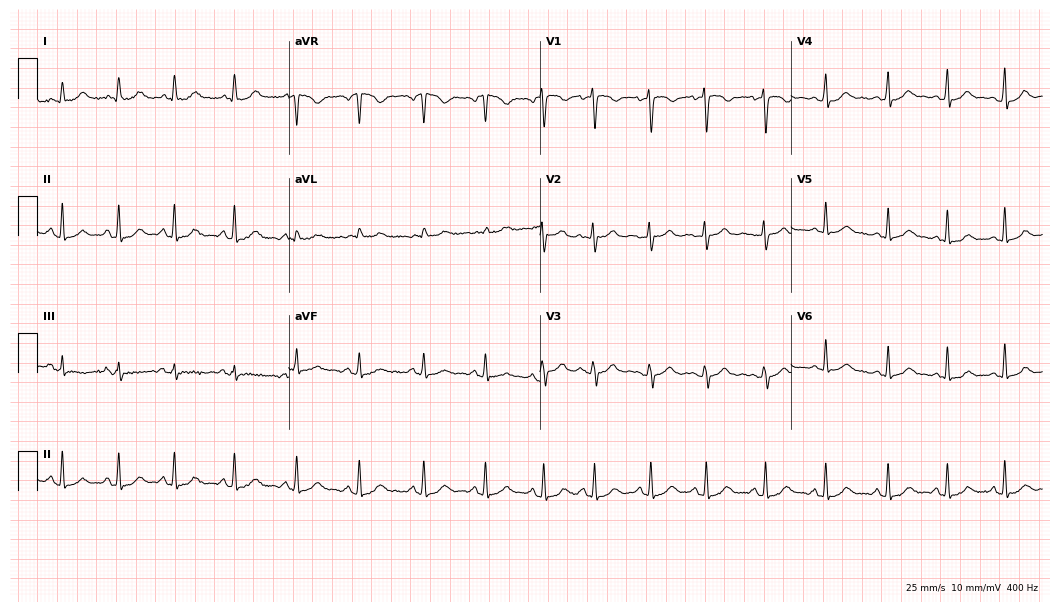
12-lead ECG from a female patient, 18 years old (10.2-second recording at 400 Hz). Recorded interpretation: within normal limits.